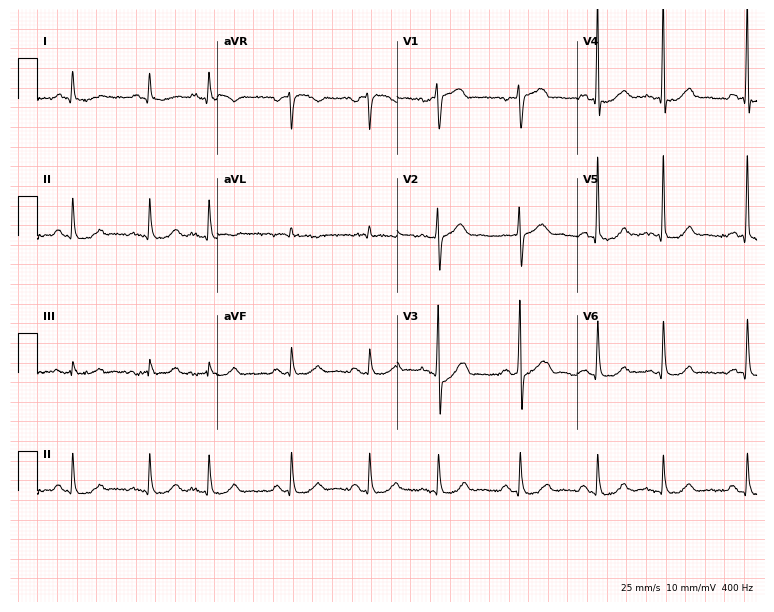
Electrocardiogram (7.3-second recording at 400 Hz), a 65-year-old male patient. Of the six screened findings (first-degree AV block, right bundle branch block, left bundle branch block, sinus bradycardia, atrial fibrillation, sinus tachycardia), none is recorded.